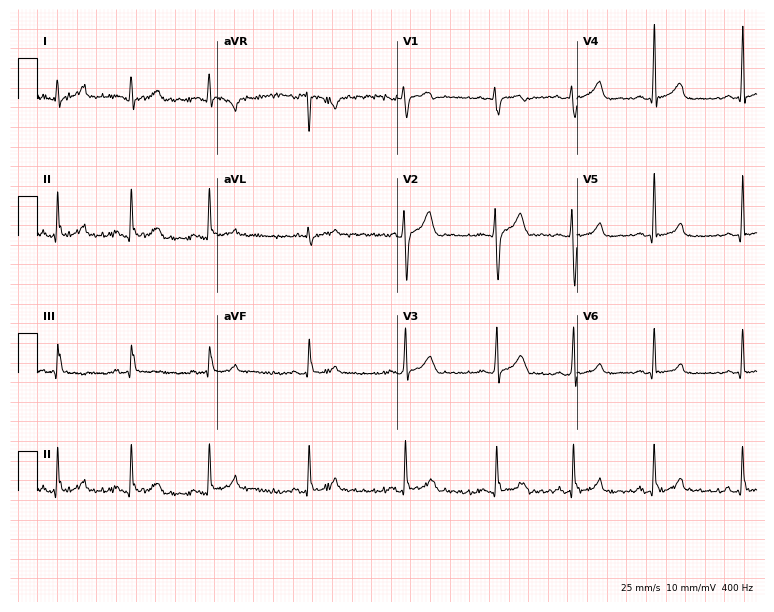
Electrocardiogram, a male, 25 years old. Of the six screened findings (first-degree AV block, right bundle branch block, left bundle branch block, sinus bradycardia, atrial fibrillation, sinus tachycardia), none is recorded. Other findings, if any, are not listed.